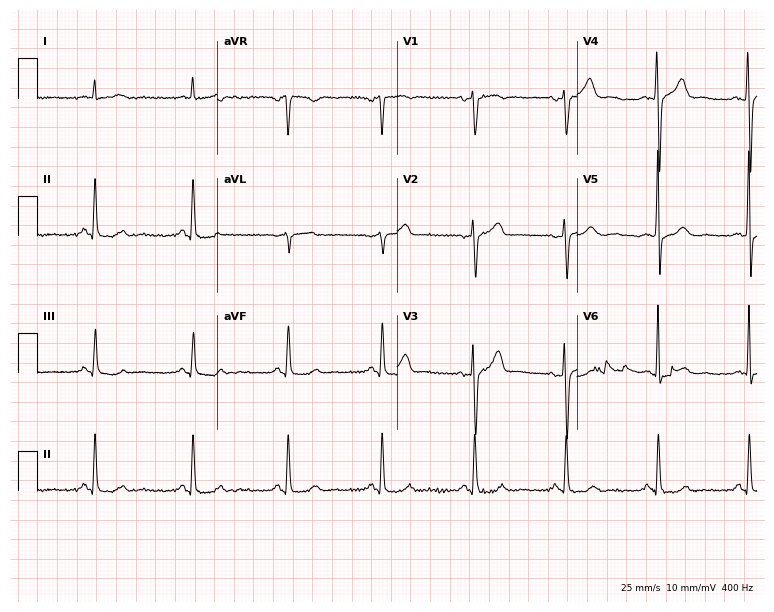
ECG — a man, 57 years old. Labelled as a normal ECG.